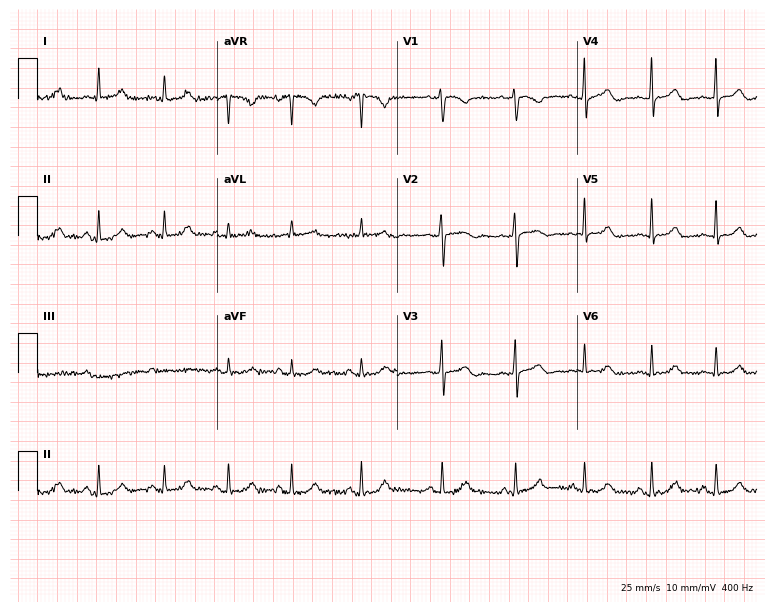
Standard 12-lead ECG recorded from a 35-year-old woman (7.3-second recording at 400 Hz). Read as a normal ECG.